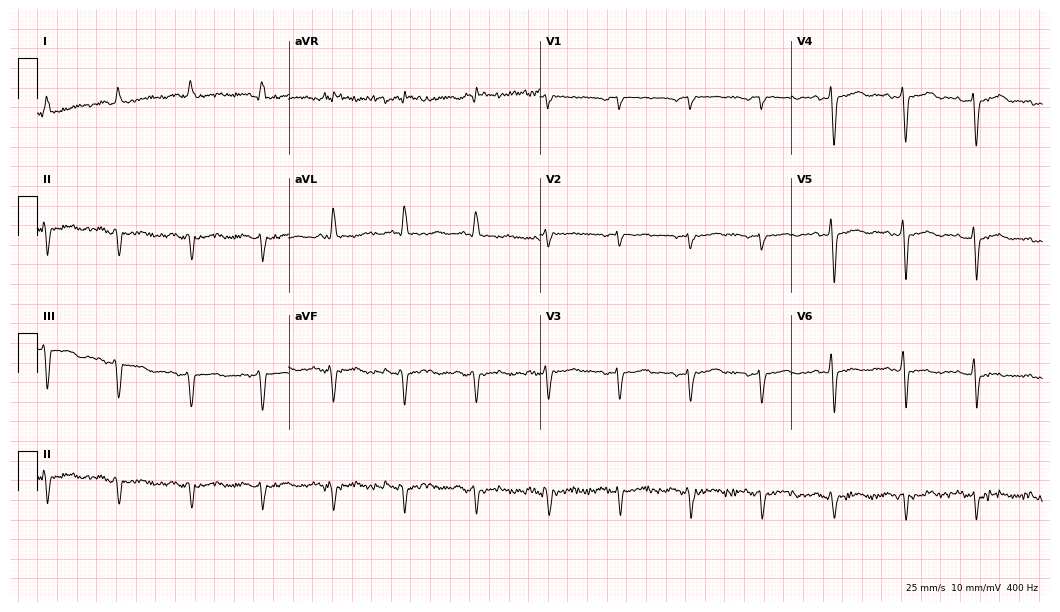
Standard 12-lead ECG recorded from a female patient, 62 years old. None of these six findings is recorded: first-degree AV block, right bundle branch block (RBBB), left bundle branch block (LBBB), sinus bradycardia, atrial fibrillation (AF), sinus tachycardia.